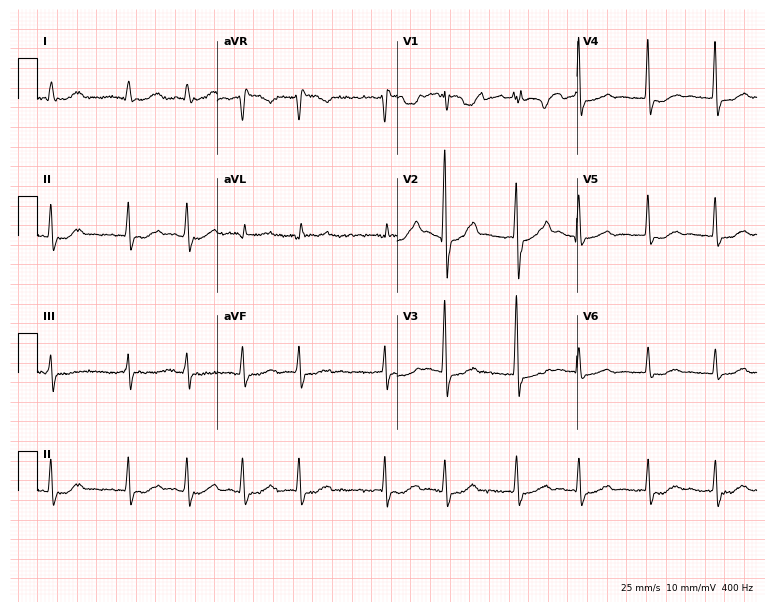
12-lead ECG from a 79-year-old female patient. Findings include atrial fibrillation (AF).